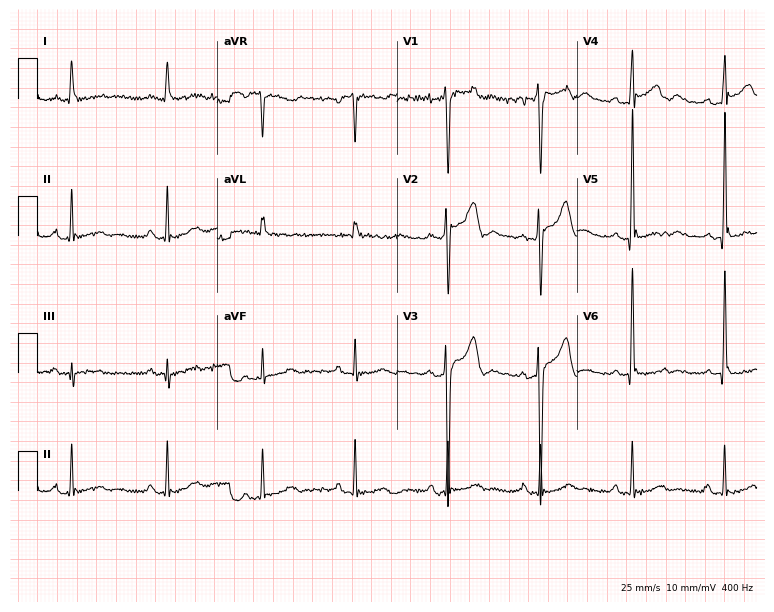
12-lead ECG from a male patient, 46 years old. Screened for six findings — first-degree AV block, right bundle branch block, left bundle branch block, sinus bradycardia, atrial fibrillation, sinus tachycardia — none is recorded. Only these six findings were labelled.